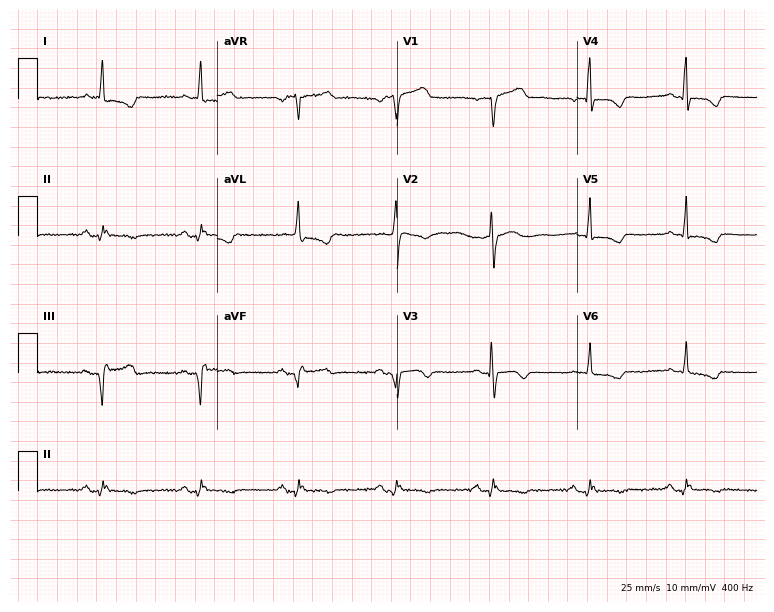
12-lead ECG (7.3-second recording at 400 Hz) from a woman, 75 years old. Screened for six findings — first-degree AV block, right bundle branch block, left bundle branch block, sinus bradycardia, atrial fibrillation, sinus tachycardia — none is recorded.